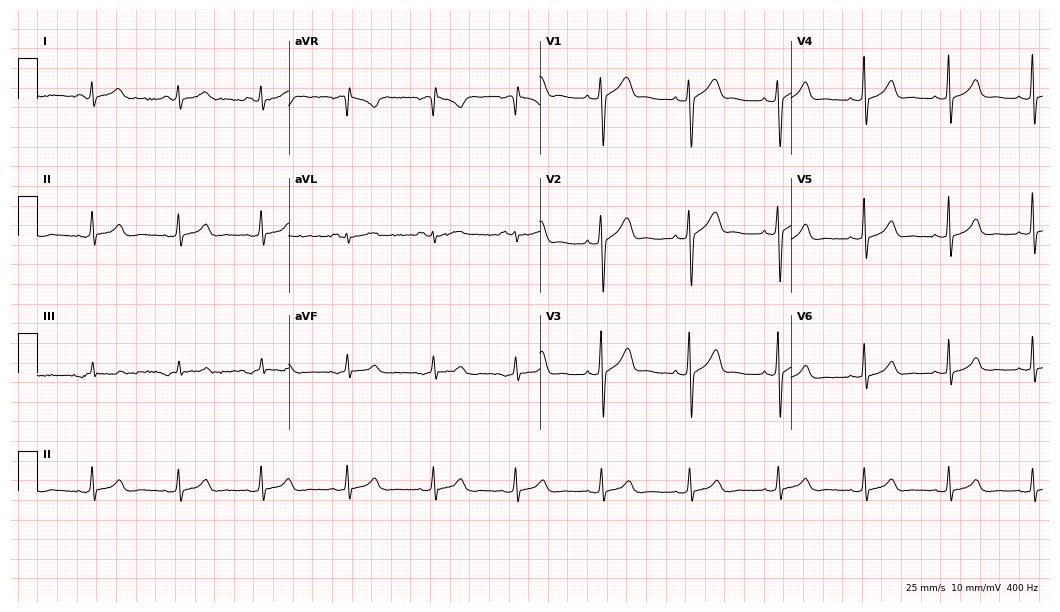
Standard 12-lead ECG recorded from a woman, 37 years old (10.2-second recording at 400 Hz). None of these six findings is recorded: first-degree AV block, right bundle branch block, left bundle branch block, sinus bradycardia, atrial fibrillation, sinus tachycardia. Only these six findings were labelled.